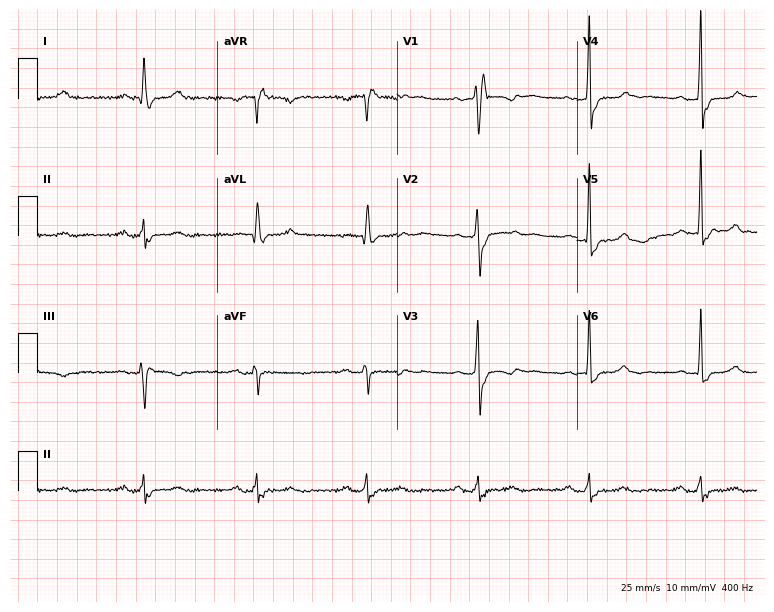
12-lead ECG from a 69-year-old female patient. Shows first-degree AV block, right bundle branch block.